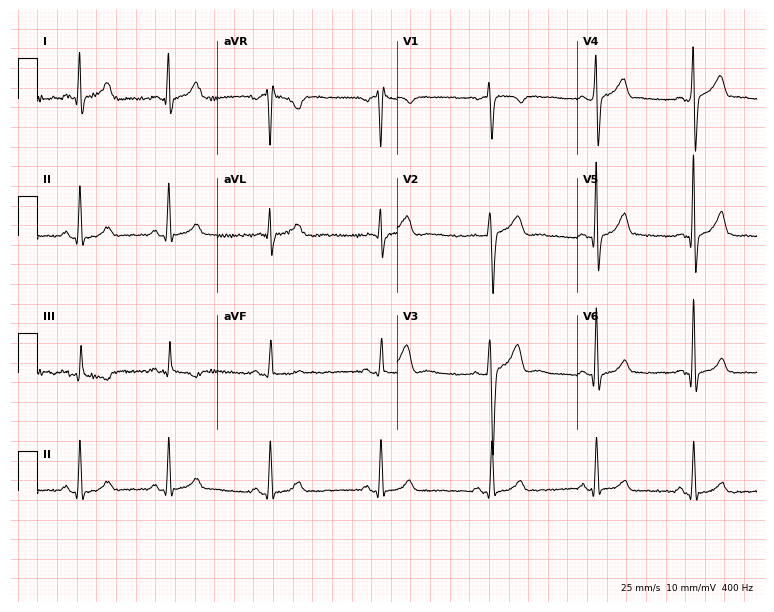
12-lead ECG from a 26-year-old man (7.3-second recording at 400 Hz). Recorded interpretation: within normal limits.